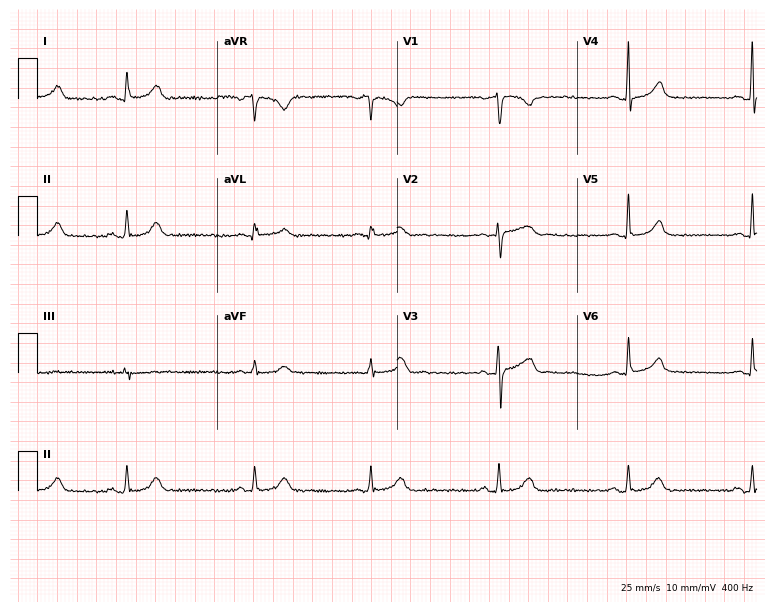
Electrocardiogram, a woman, 40 years old. Interpretation includes sinus bradycardia (a sinus rate of 50 beats per minute or less).